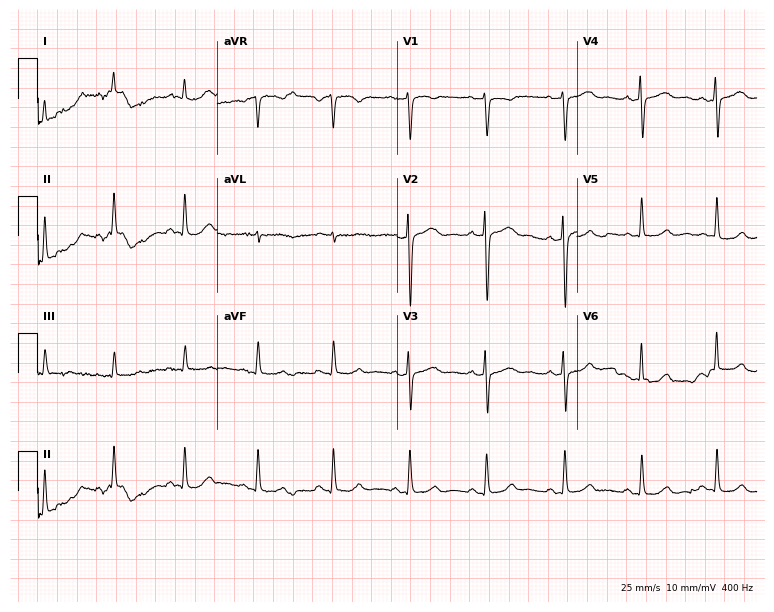
ECG — a 46-year-old woman. Labelled as a normal ECG.